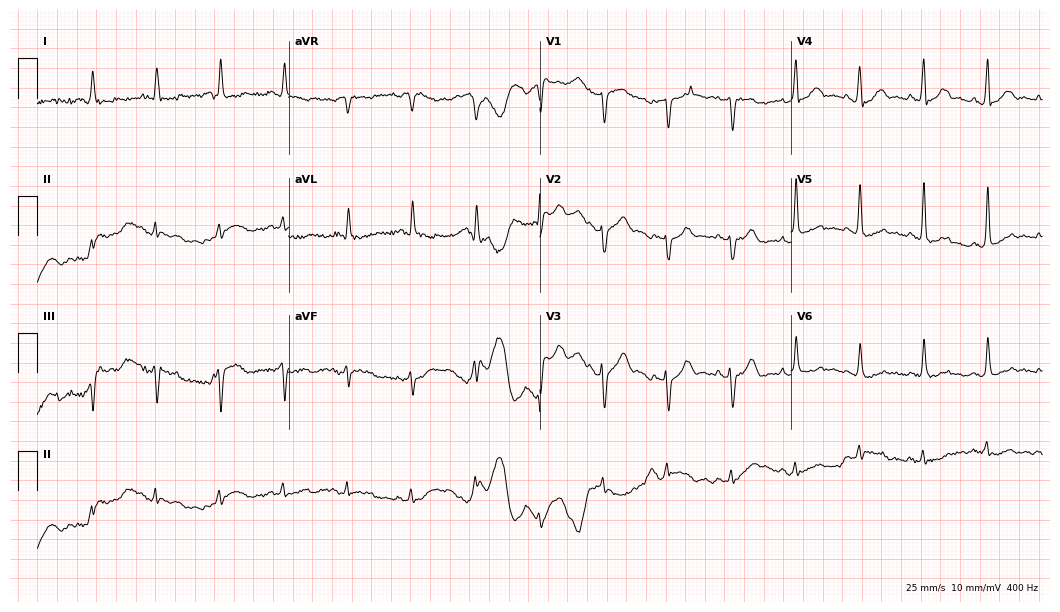
ECG (10.2-second recording at 400 Hz) — a male, 85 years old. Screened for six findings — first-degree AV block, right bundle branch block, left bundle branch block, sinus bradycardia, atrial fibrillation, sinus tachycardia — none is recorded.